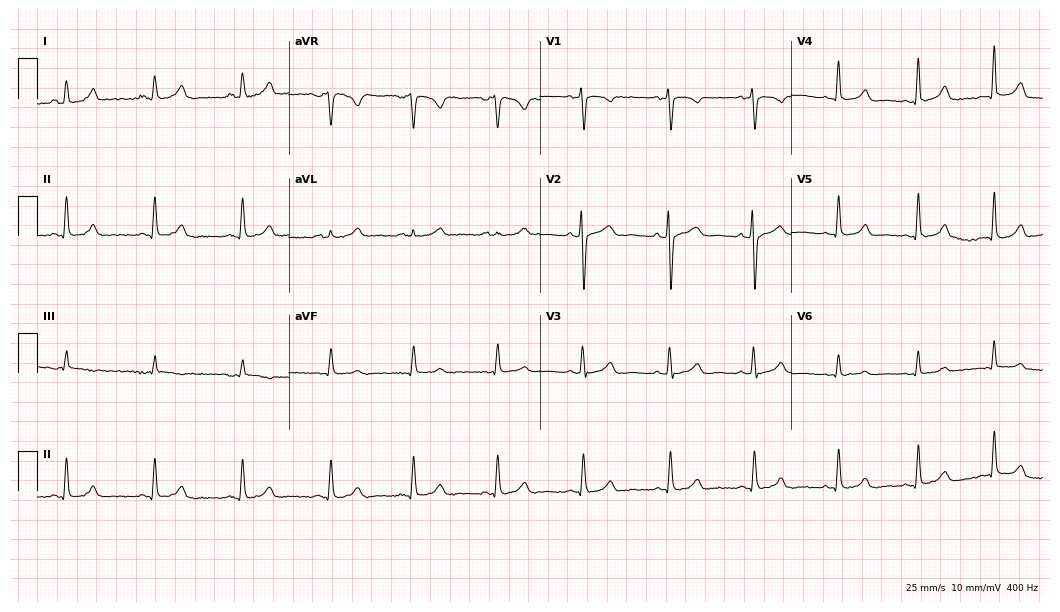
Electrocardiogram, a female, 41 years old. Overall reading on record: normal ECG.